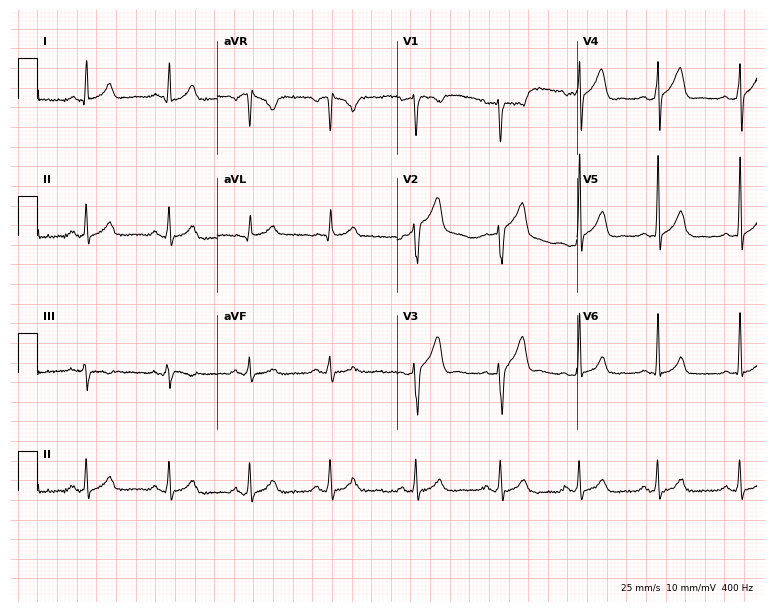
12-lead ECG from a male patient, 27 years old. Recorded interpretation: within normal limits.